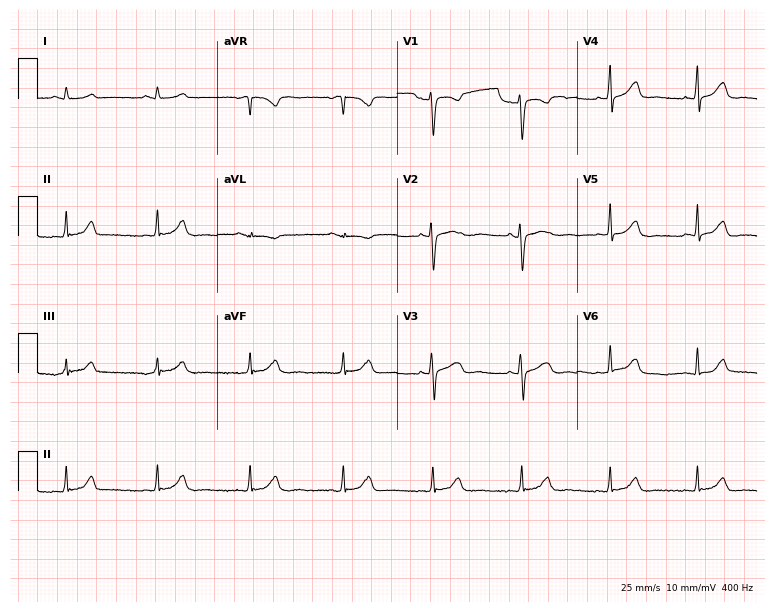
Electrocardiogram, a female, 36 years old. Of the six screened findings (first-degree AV block, right bundle branch block (RBBB), left bundle branch block (LBBB), sinus bradycardia, atrial fibrillation (AF), sinus tachycardia), none is recorded. Findings outside these six are not listed.